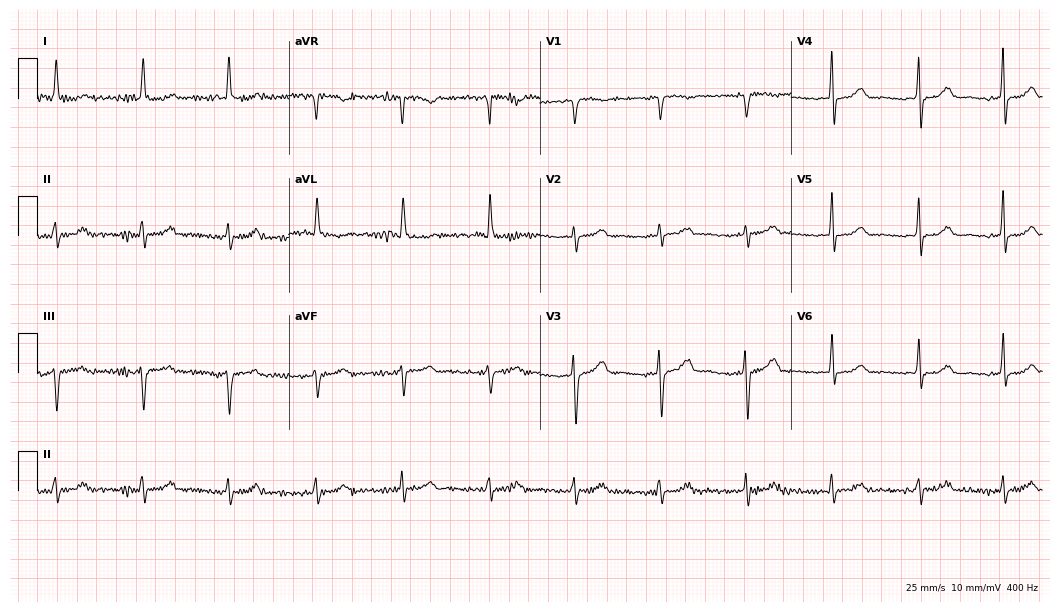
Electrocardiogram (10.2-second recording at 400 Hz), a 64-year-old female. Overall reading on record: normal ECG.